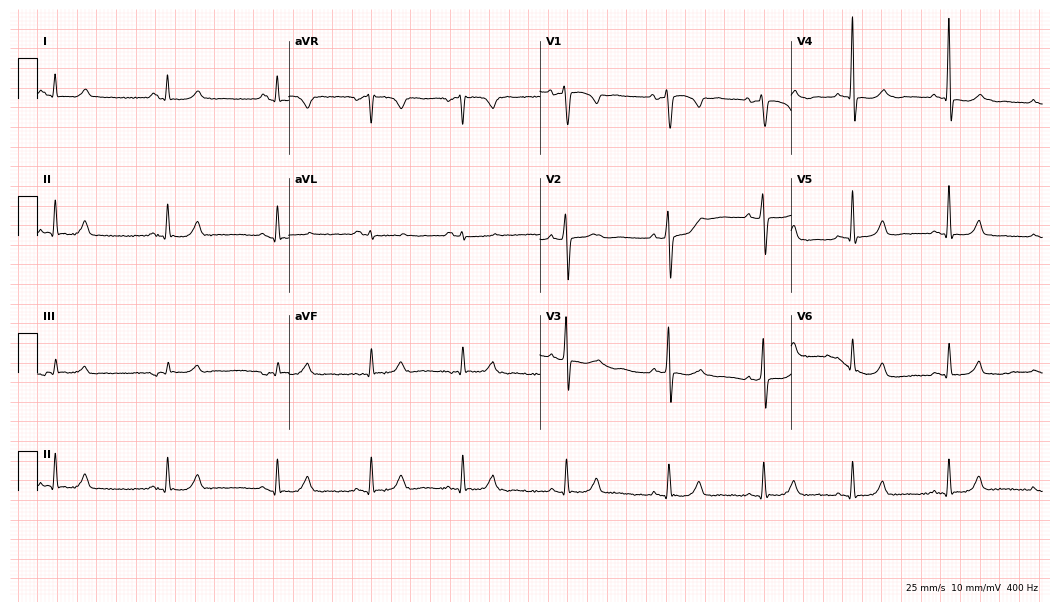
12-lead ECG (10.2-second recording at 400 Hz) from a woman, 42 years old. Screened for six findings — first-degree AV block, right bundle branch block, left bundle branch block, sinus bradycardia, atrial fibrillation, sinus tachycardia — none is recorded. Findings outside these six are not listed.